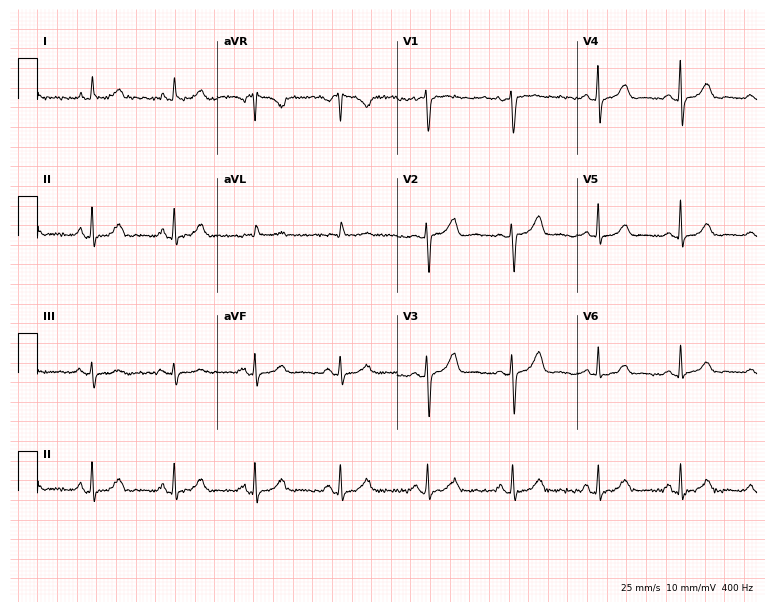
Resting 12-lead electrocardiogram (7.3-second recording at 400 Hz). Patient: a female, 58 years old. Read as a normal ECG.